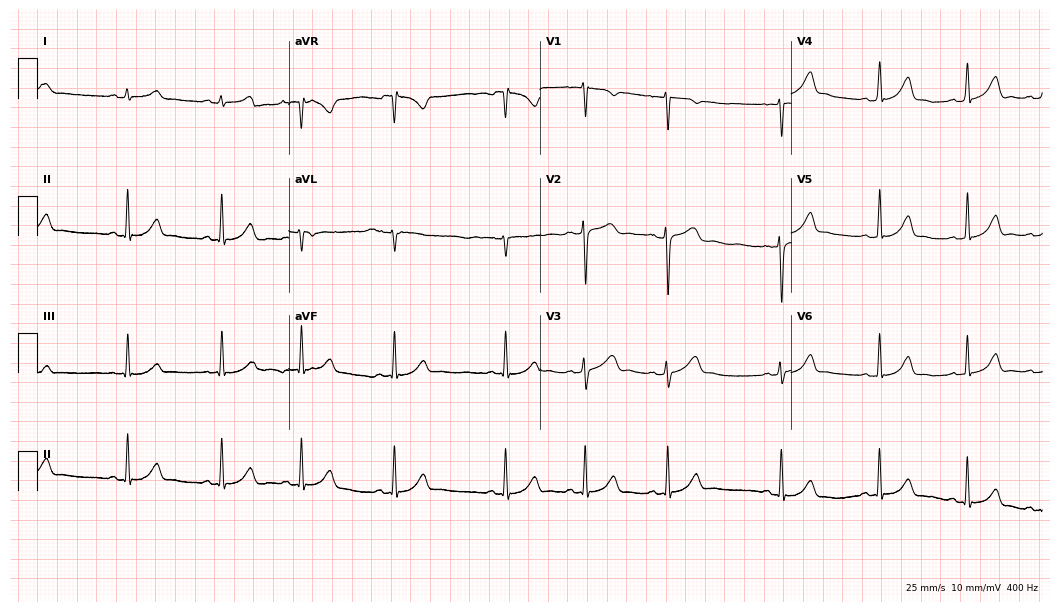
Electrocardiogram (10.2-second recording at 400 Hz), a 19-year-old female patient. Of the six screened findings (first-degree AV block, right bundle branch block, left bundle branch block, sinus bradycardia, atrial fibrillation, sinus tachycardia), none is recorded. Findings outside these six are not listed.